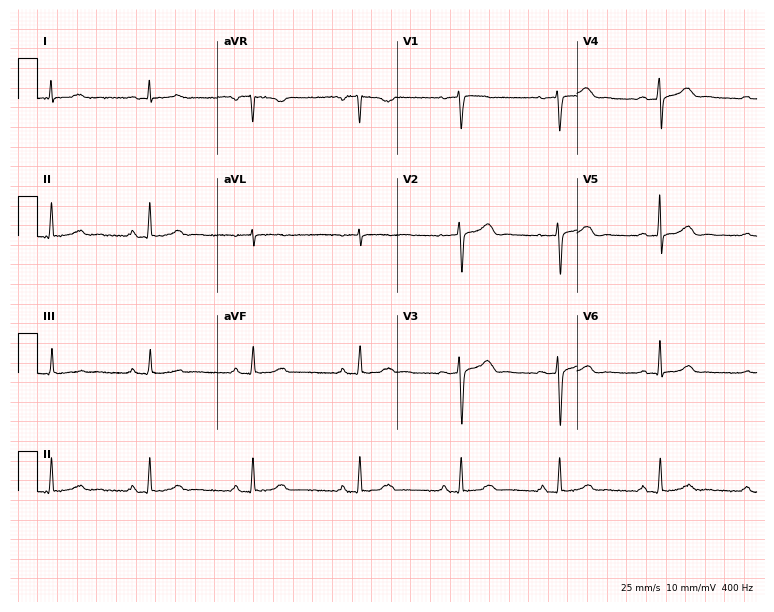
Resting 12-lead electrocardiogram. Patient: a 37-year-old female. Read as a normal ECG.